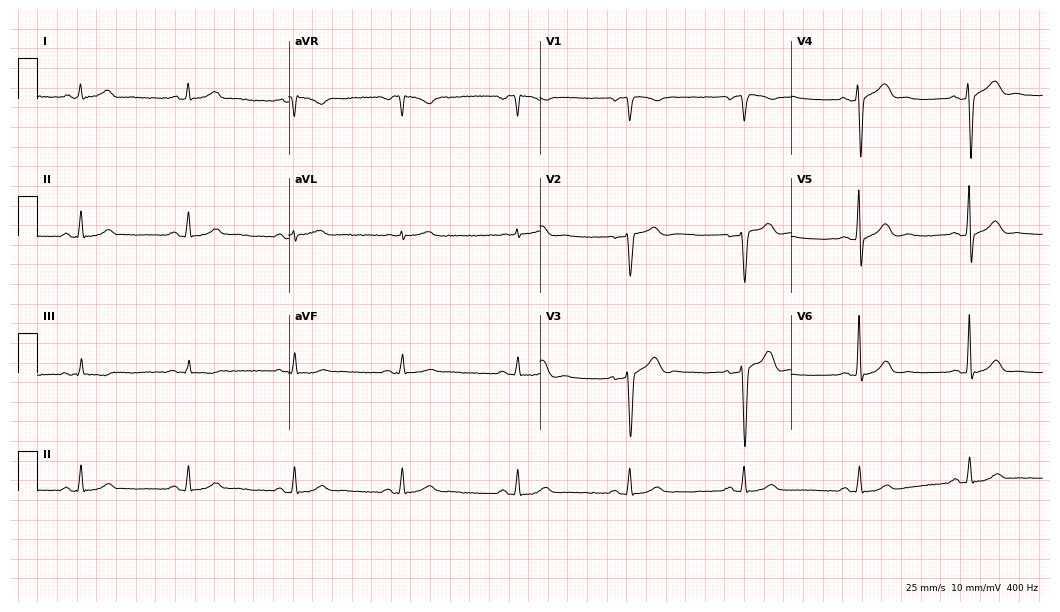
Electrocardiogram, a male, 46 years old. Overall reading on record: normal ECG.